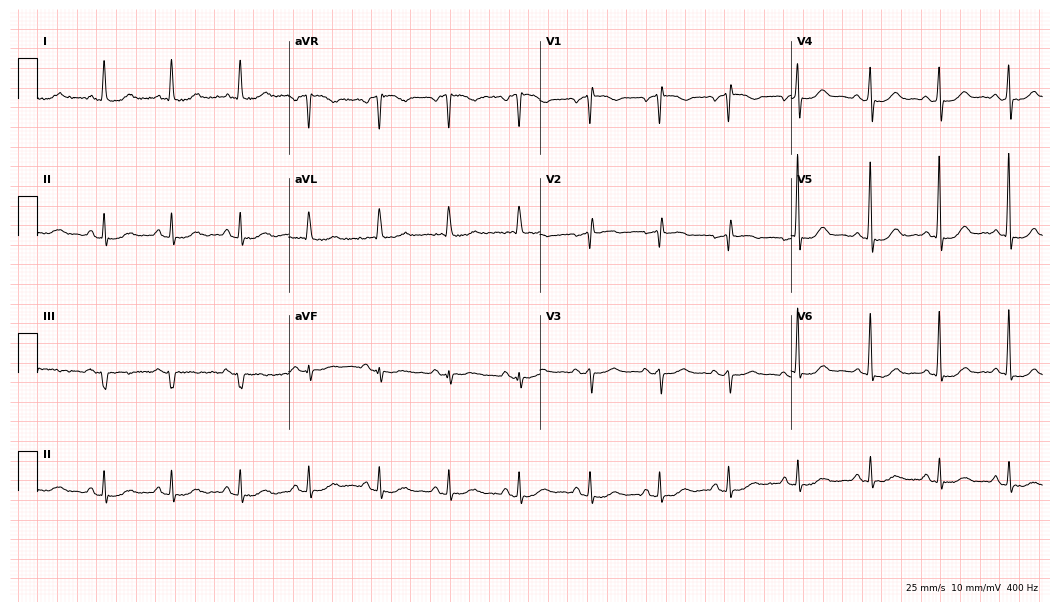
12-lead ECG from a female, 78 years old. Screened for six findings — first-degree AV block, right bundle branch block, left bundle branch block, sinus bradycardia, atrial fibrillation, sinus tachycardia — none is recorded.